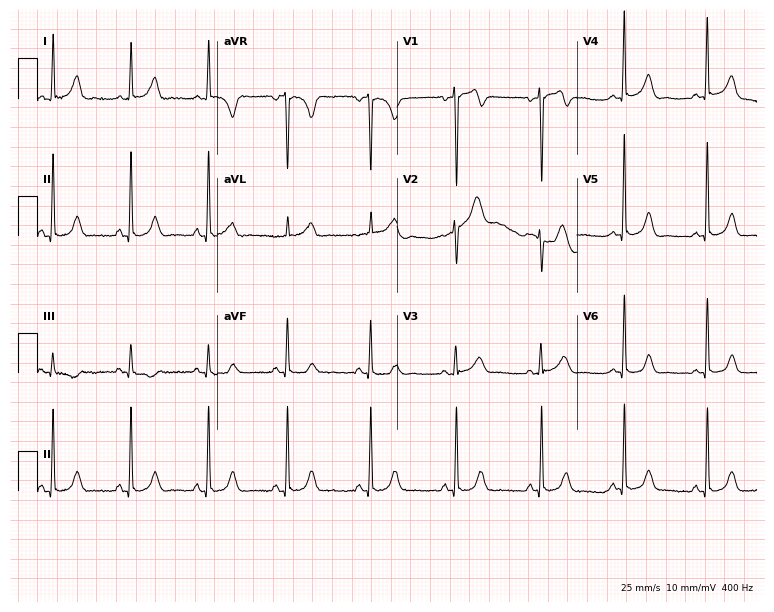
ECG (7.3-second recording at 400 Hz) — a 39-year-old woman. Labelled as a normal ECG.